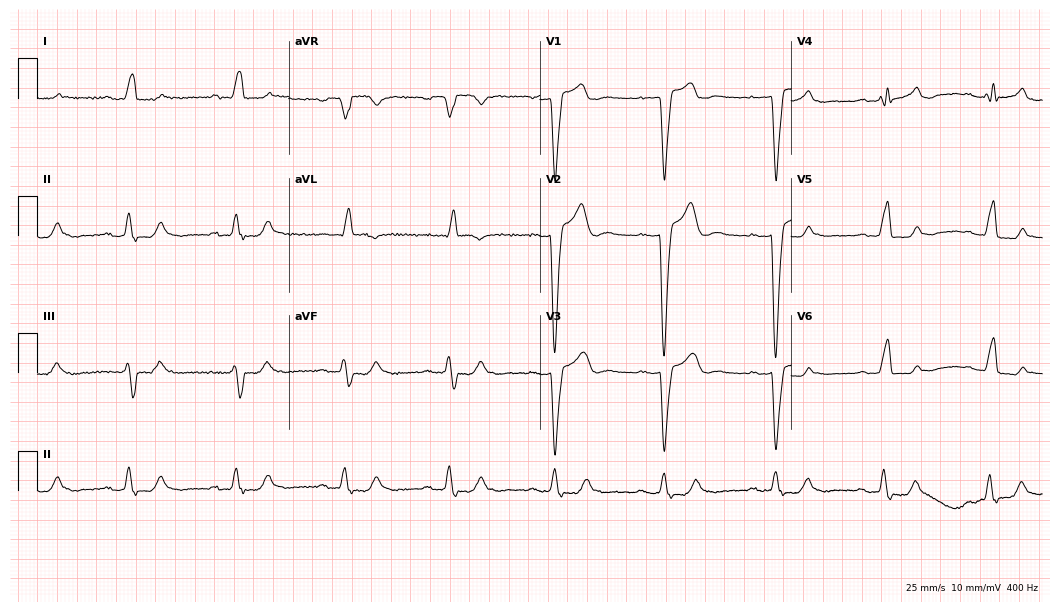
Standard 12-lead ECG recorded from a woman, 57 years old. None of these six findings is recorded: first-degree AV block, right bundle branch block, left bundle branch block, sinus bradycardia, atrial fibrillation, sinus tachycardia. Findings outside these six are not listed.